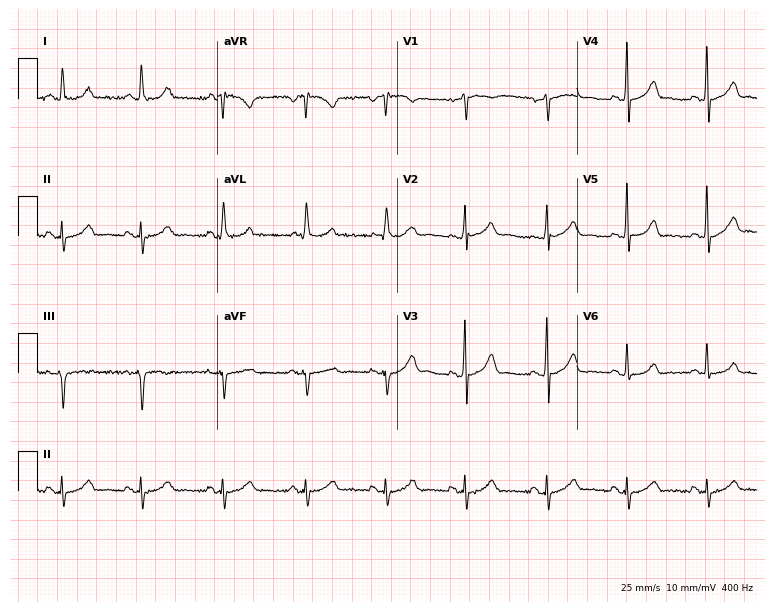
Resting 12-lead electrocardiogram (7.3-second recording at 400 Hz). Patient: a man, 59 years old. None of these six findings is recorded: first-degree AV block, right bundle branch block, left bundle branch block, sinus bradycardia, atrial fibrillation, sinus tachycardia. Only these six findings were labelled.